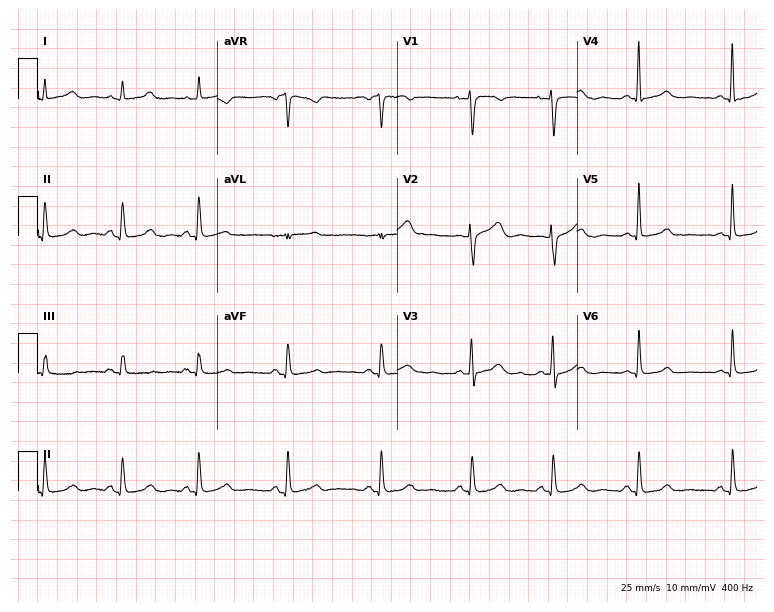
Standard 12-lead ECG recorded from a 45-year-old female. Read as a normal ECG.